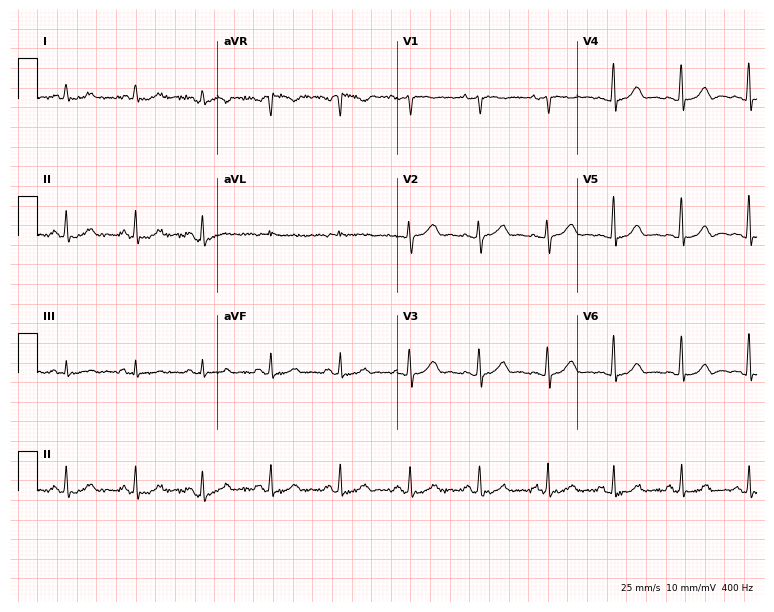
Standard 12-lead ECG recorded from a 33-year-old female patient (7.3-second recording at 400 Hz). Read as a normal ECG.